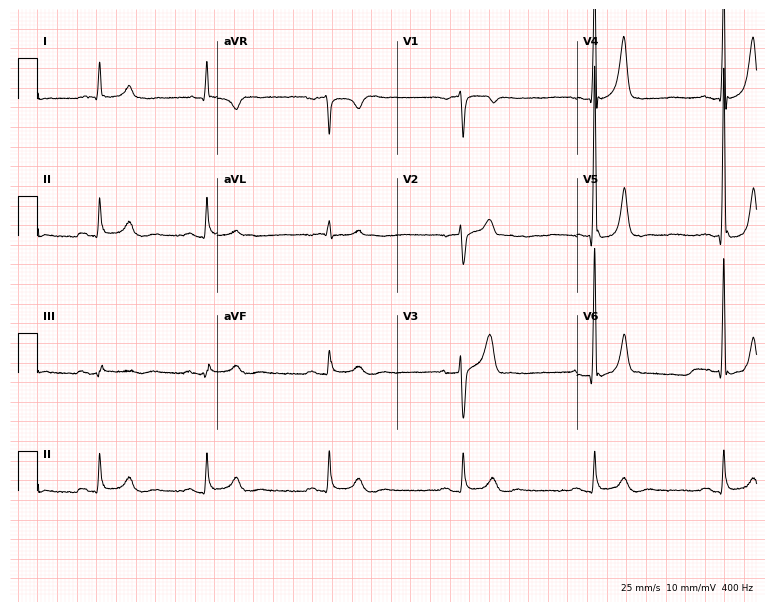
12-lead ECG from a 66-year-old male. Shows sinus bradycardia (a sinus rate of 50 beats per minute or less).